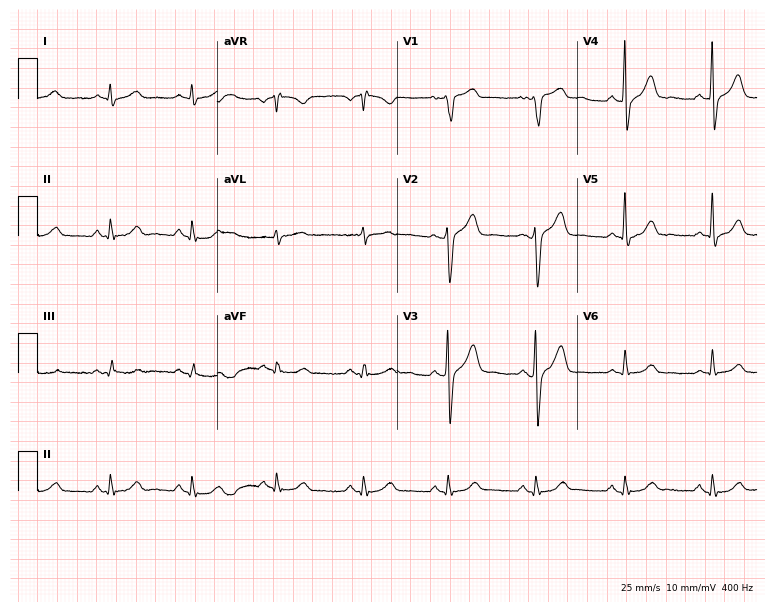
12-lead ECG from a male patient, 71 years old. Recorded interpretation: within normal limits.